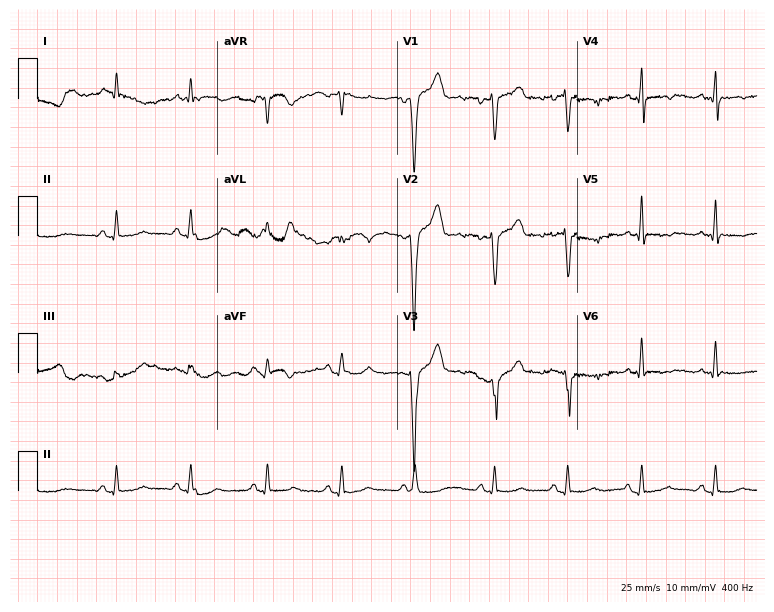
Electrocardiogram (7.3-second recording at 400 Hz), a 79-year-old man. Of the six screened findings (first-degree AV block, right bundle branch block, left bundle branch block, sinus bradycardia, atrial fibrillation, sinus tachycardia), none is recorded.